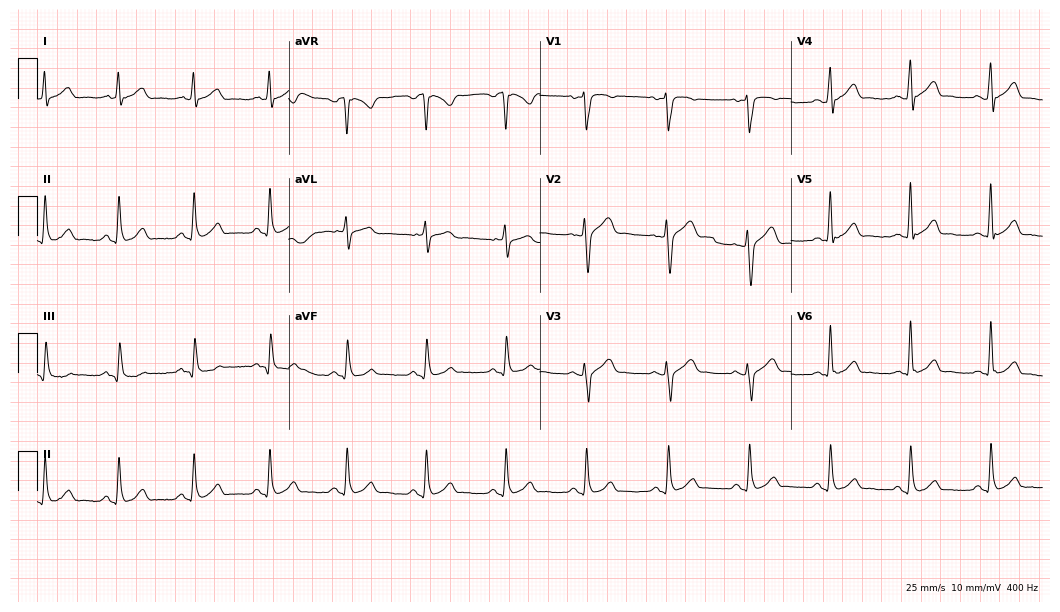
12-lead ECG (10.2-second recording at 400 Hz) from a male, 51 years old. Screened for six findings — first-degree AV block, right bundle branch block, left bundle branch block, sinus bradycardia, atrial fibrillation, sinus tachycardia — none is recorded. Other findings, if any, are not listed.